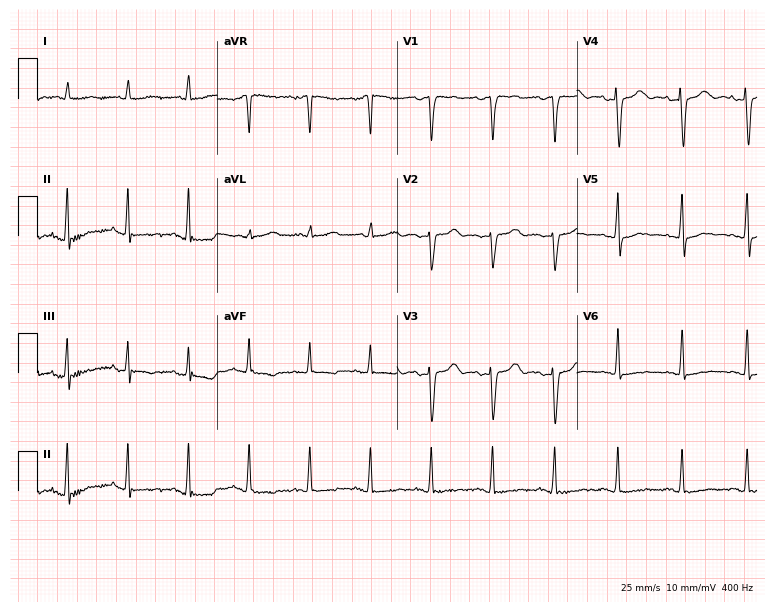
ECG (7.3-second recording at 400 Hz) — a 29-year-old female patient. Screened for six findings — first-degree AV block, right bundle branch block (RBBB), left bundle branch block (LBBB), sinus bradycardia, atrial fibrillation (AF), sinus tachycardia — none is recorded. Findings outside these six are not listed.